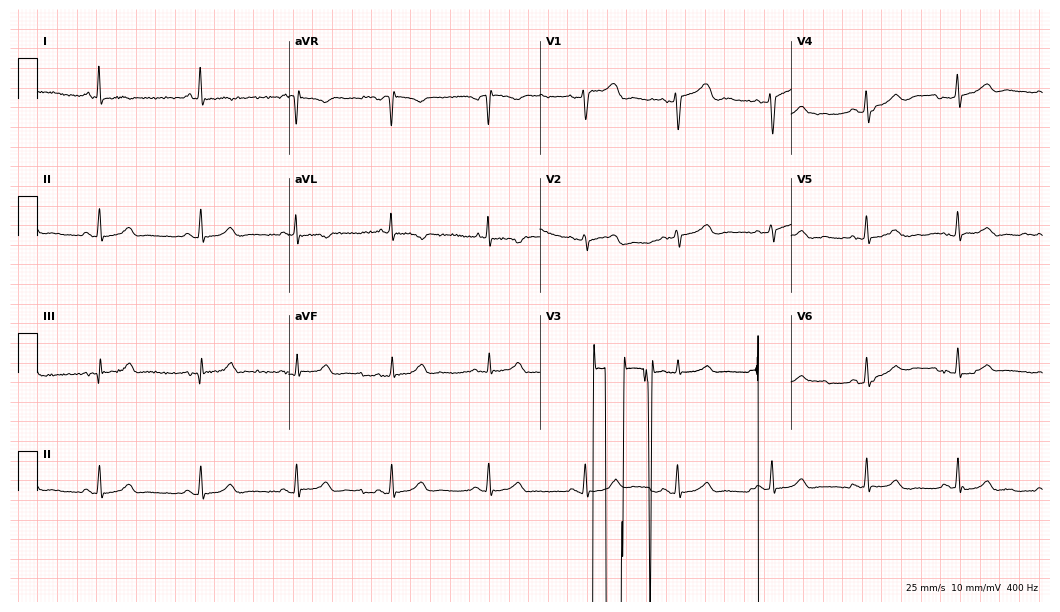
Standard 12-lead ECG recorded from a 63-year-old female patient (10.2-second recording at 400 Hz). None of these six findings is recorded: first-degree AV block, right bundle branch block, left bundle branch block, sinus bradycardia, atrial fibrillation, sinus tachycardia. Findings outside these six are not listed.